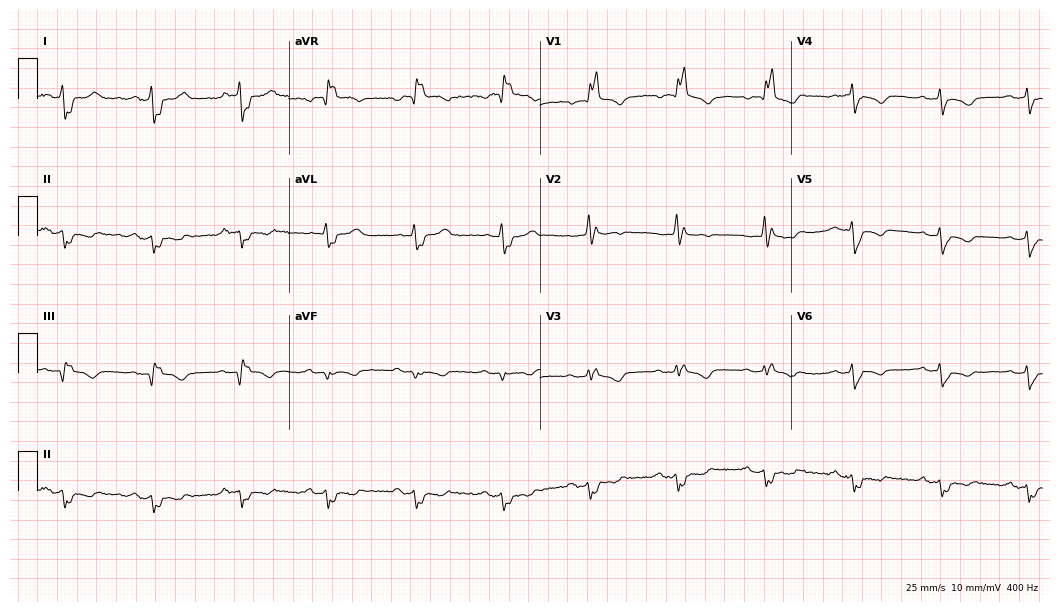
Electrocardiogram, a 74-year-old female patient. Interpretation includes right bundle branch block.